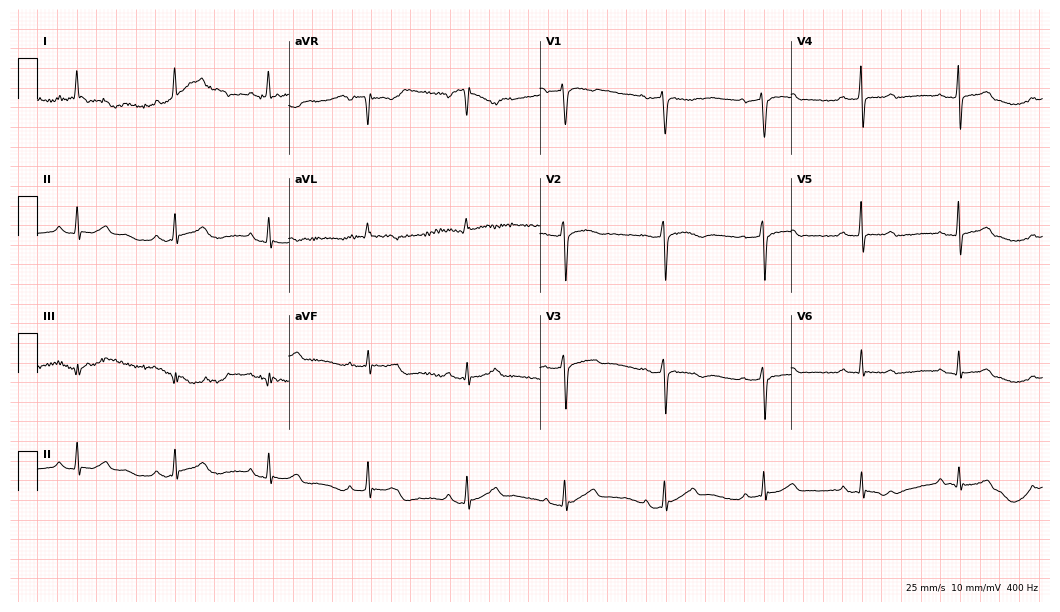
Resting 12-lead electrocardiogram. Patient: a 67-year-old woman. Read as a normal ECG.